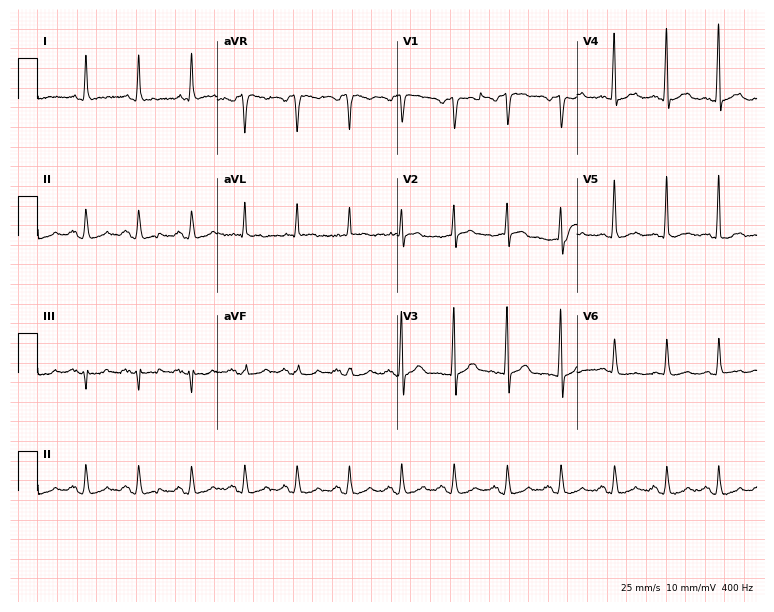
Resting 12-lead electrocardiogram. Patient: a 54-year-old male. The tracing shows sinus tachycardia (a sinus rate of 100 beats per minute or more).